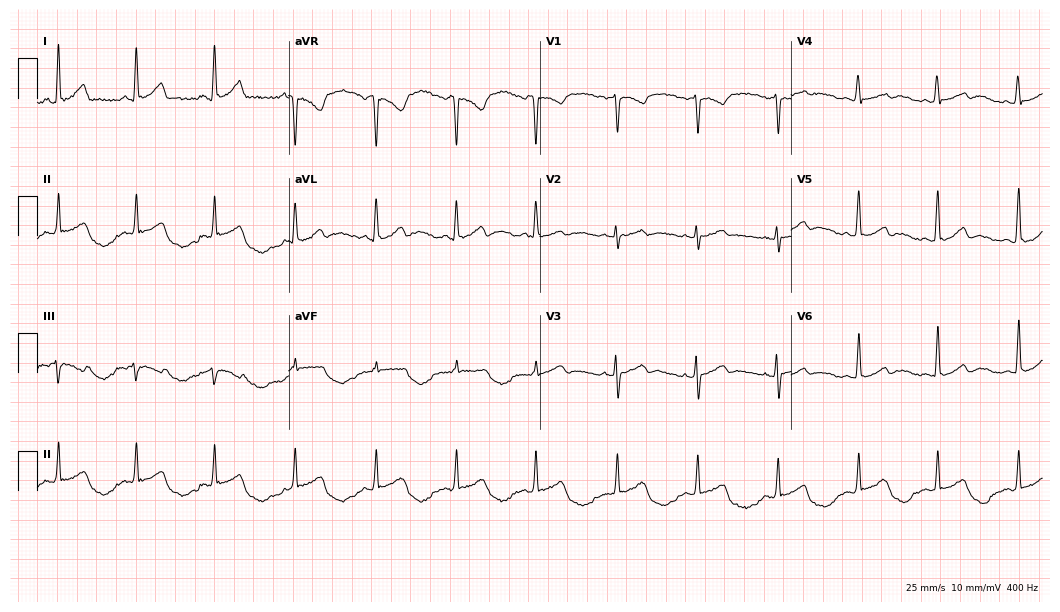
Electrocardiogram (10.2-second recording at 400 Hz), a woman, 44 years old. Of the six screened findings (first-degree AV block, right bundle branch block, left bundle branch block, sinus bradycardia, atrial fibrillation, sinus tachycardia), none is recorded.